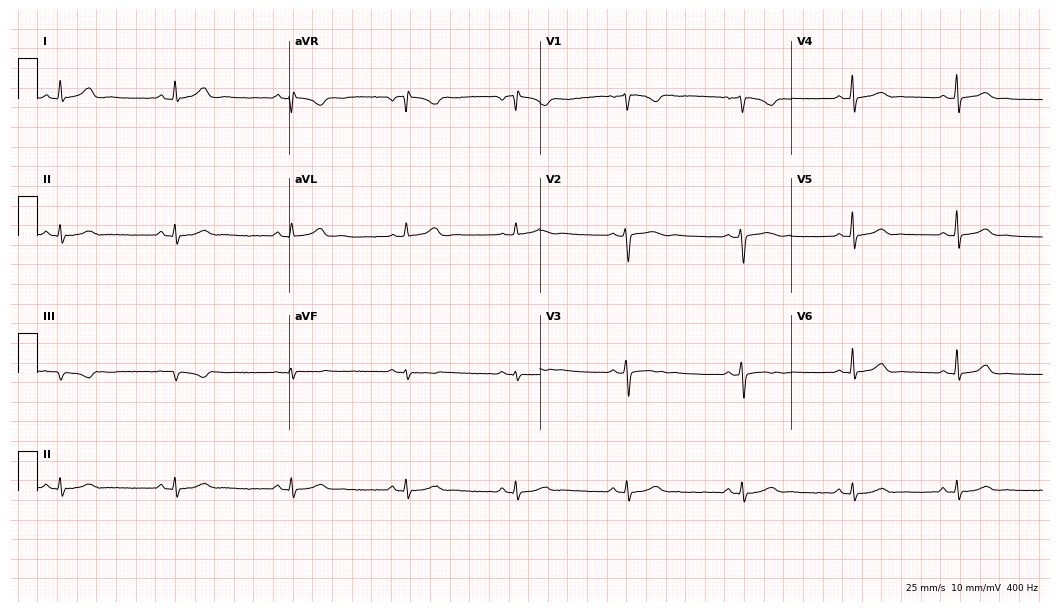
Resting 12-lead electrocardiogram (10.2-second recording at 400 Hz). Patient: a female, 17 years old. Read as a normal ECG.